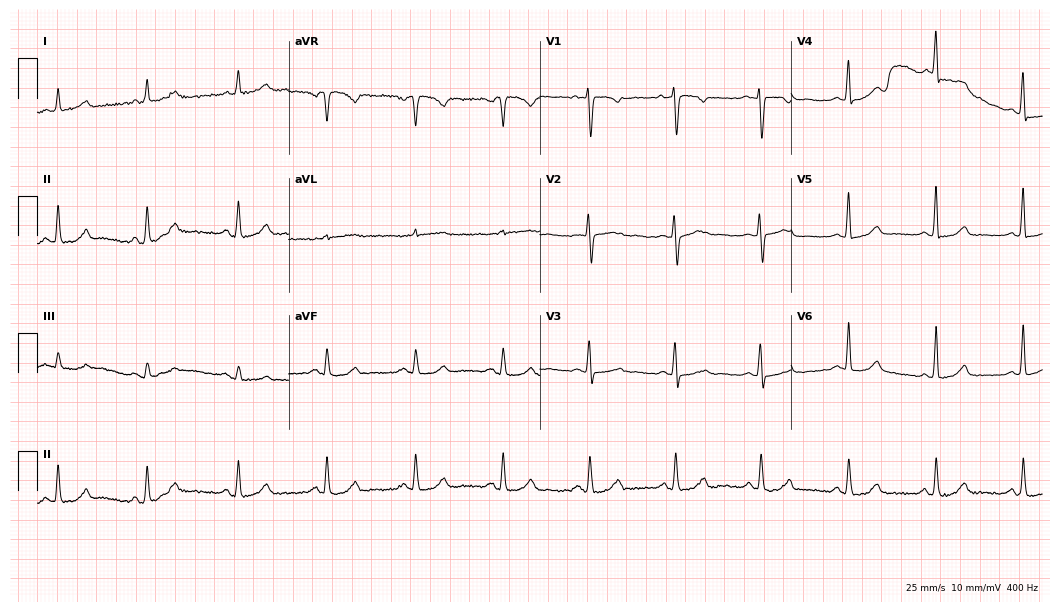
12-lead ECG from a woman, 57 years old. Labelled as a normal ECG.